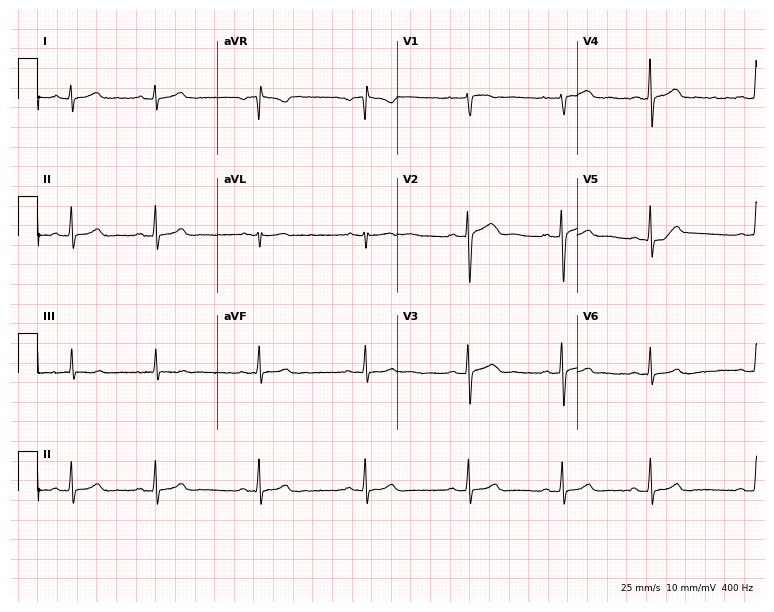
Standard 12-lead ECG recorded from a 28-year-old woman (7.3-second recording at 400 Hz). None of these six findings is recorded: first-degree AV block, right bundle branch block (RBBB), left bundle branch block (LBBB), sinus bradycardia, atrial fibrillation (AF), sinus tachycardia. Other findings, if any, are not listed.